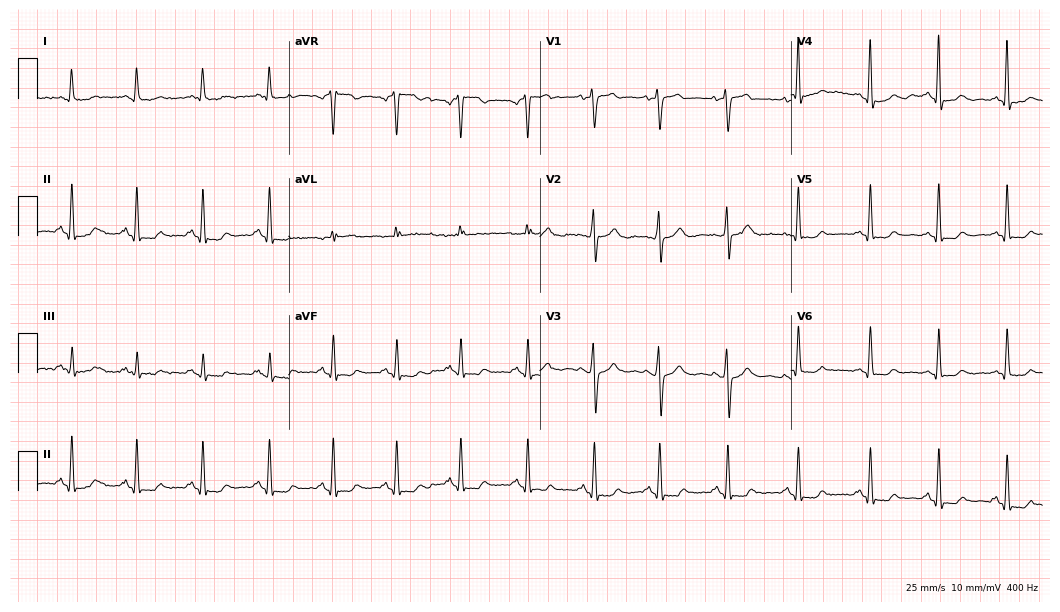
12-lead ECG from a female, 47 years old. Screened for six findings — first-degree AV block, right bundle branch block, left bundle branch block, sinus bradycardia, atrial fibrillation, sinus tachycardia — none is recorded. Only these six findings were labelled.